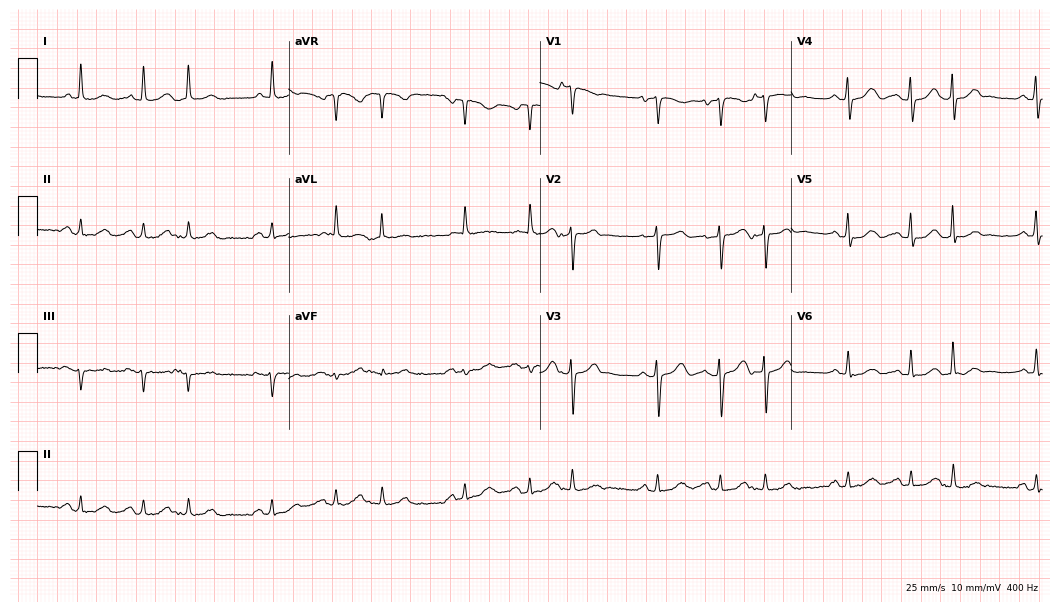
12-lead ECG (10.2-second recording at 400 Hz) from a woman, 80 years old. Screened for six findings — first-degree AV block, right bundle branch block (RBBB), left bundle branch block (LBBB), sinus bradycardia, atrial fibrillation (AF), sinus tachycardia — none is recorded.